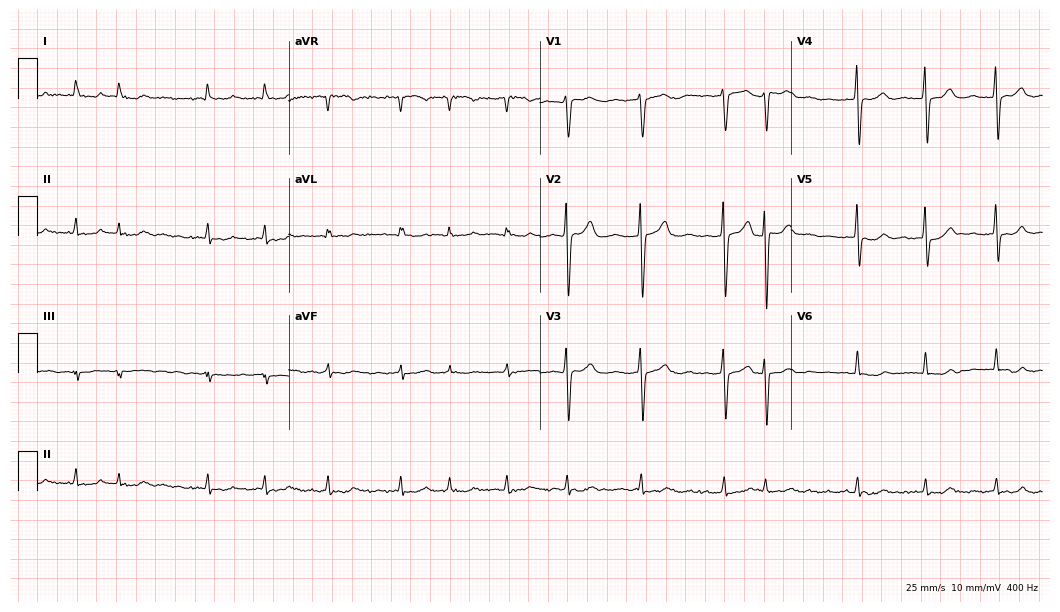
12-lead ECG from a 57-year-old woman. Shows atrial fibrillation (AF).